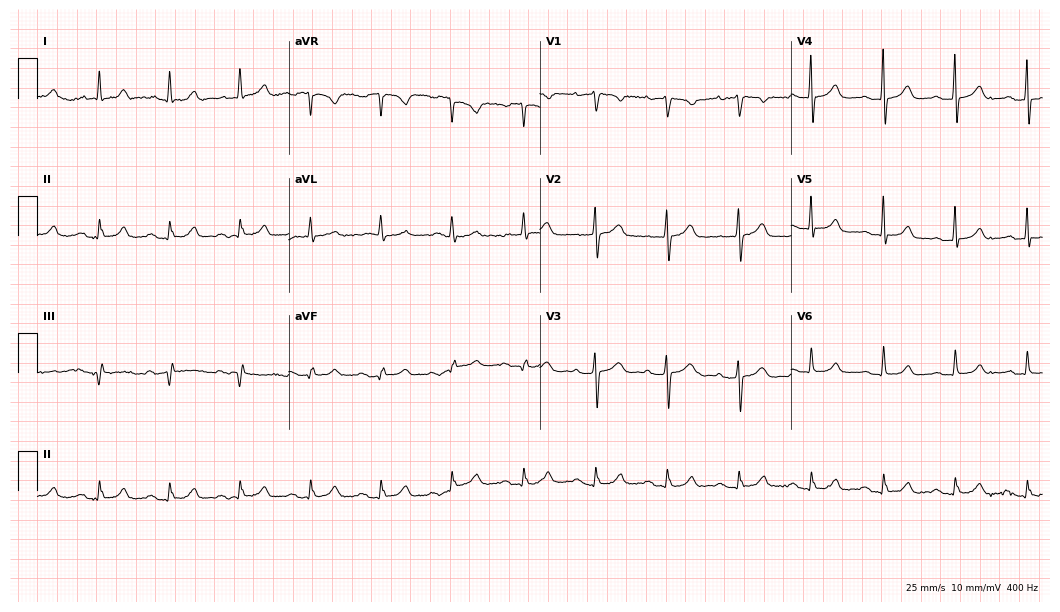
12-lead ECG from a woman, 78 years old (10.2-second recording at 400 Hz). Shows first-degree AV block.